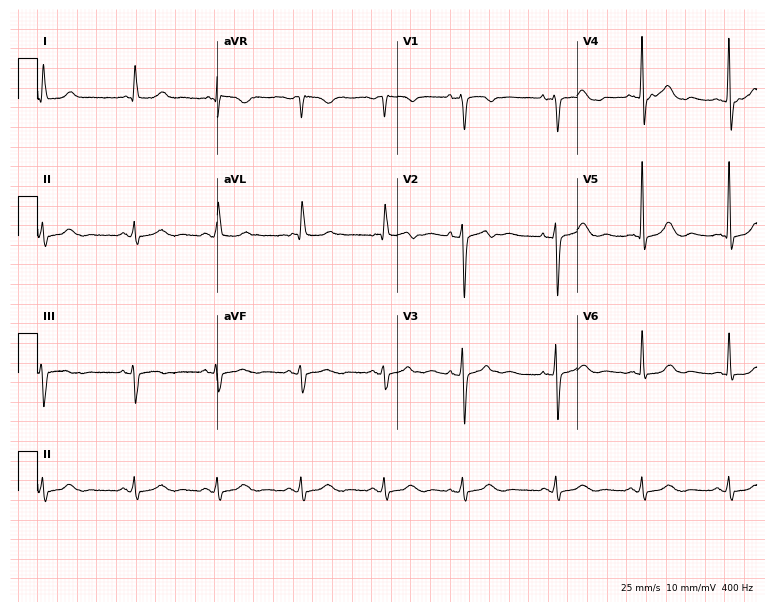
12-lead ECG from a woman, 81 years old. Labelled as a normal ECG.